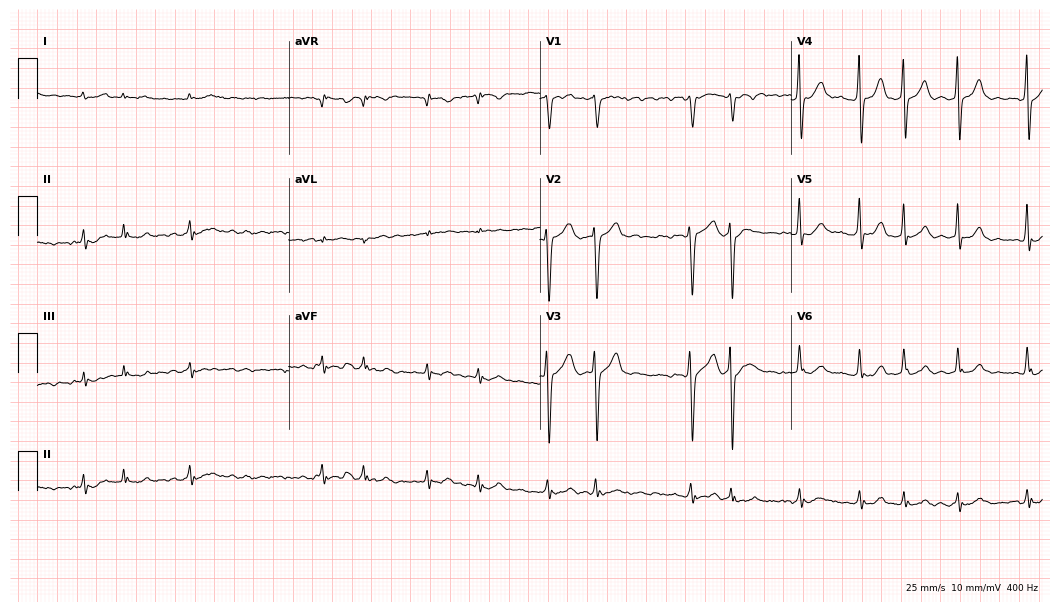
12-lead ECG from a man, 79 years old. Findings include atrial fibrillation (AF).